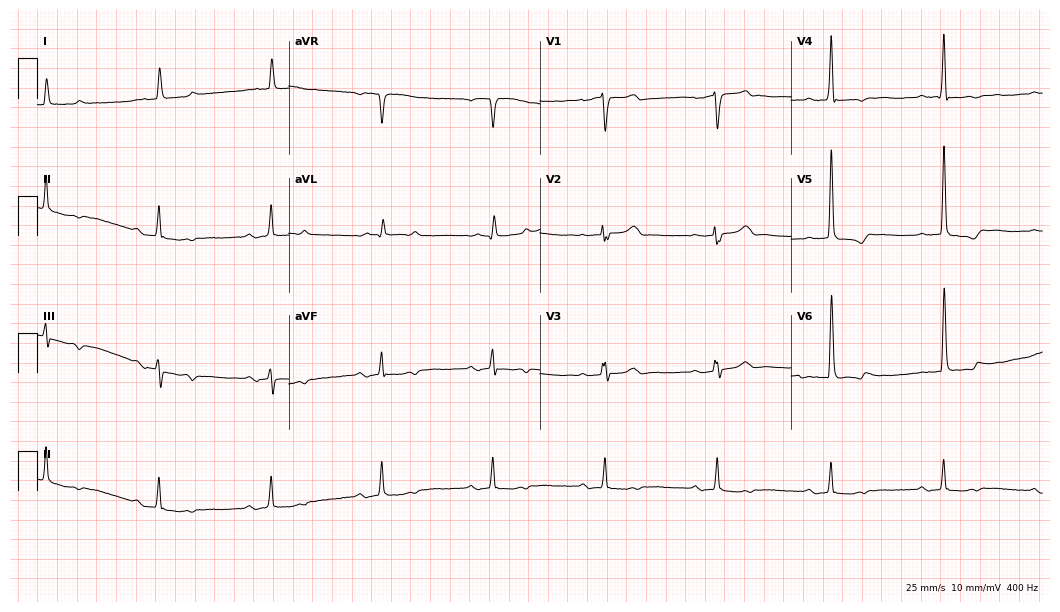
12-lead ECG from a male patient, 84 years old (10.2-second recording at 400 Hz). No first-degree AV block, right bundle branch block (RBBB), left bundle branch block (LBBB), sinus bradycardia, atrial fibrillation (AF) or sinus tachycardia recorded for this tracing. Other findings, if any, are not listed.